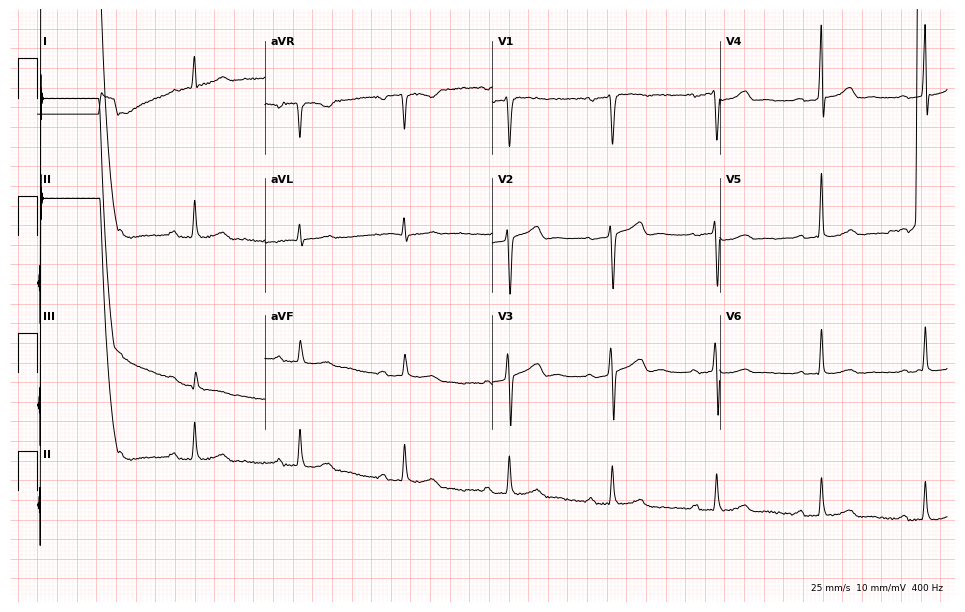
12-lead ECG from a male patient, 55 years old (9.3-second recording at 400 Hz). No first-degree AV block, right bundle branch block (RBBB), left bundle branch block (LBBB), sinus bradycardia, atrial fibrillation (AF) or sinus tachycardia recorded for this tracing.